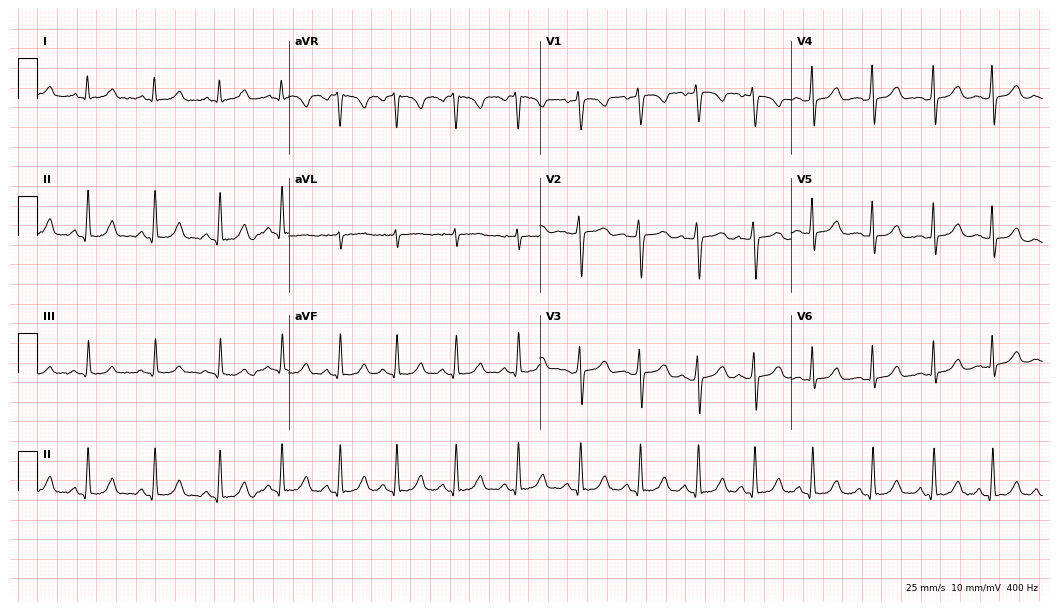
ECG — a female patient, 27 years old. Labelled as a normal ECG.